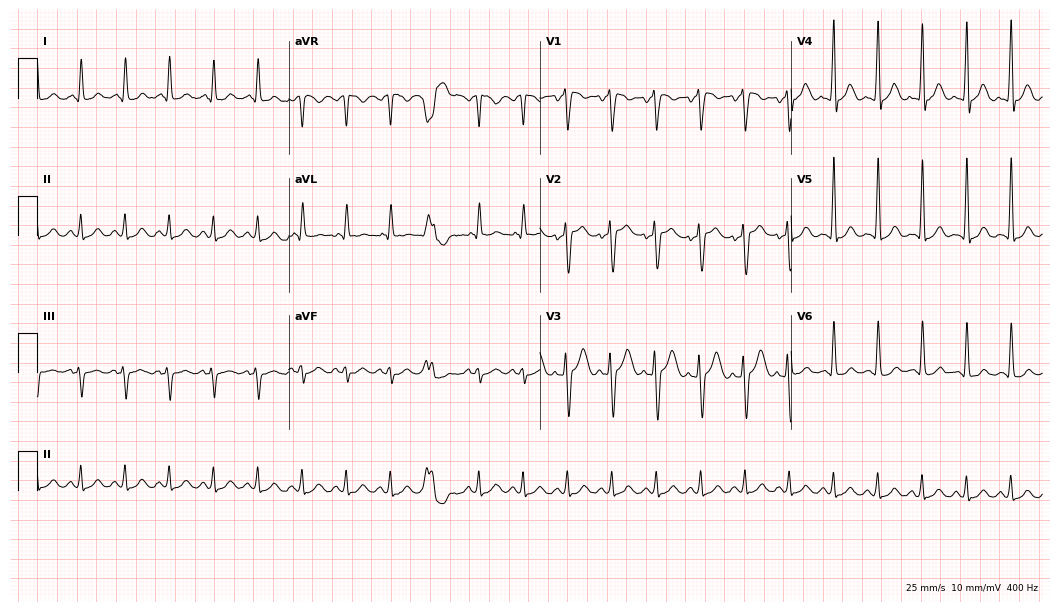
Standard 12-lead ECG recorded from a 65-year-old male (10.2-second recording at 400 Hz). The tracing shows sinus tachycardia (a sinus rate of 100 beats per minute or more).